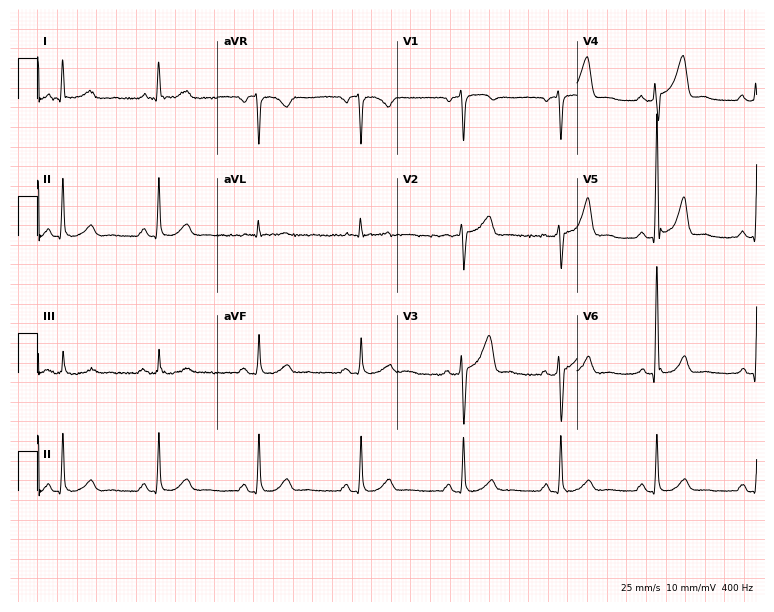
Standard 12-lead ECG recorded from a man, 60 years old. Read as a normal ECG.